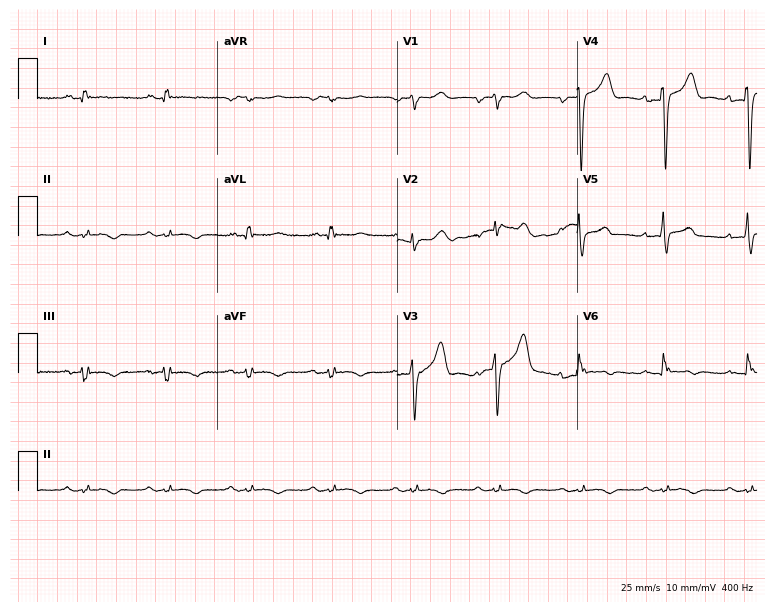
12-lead ECG from a 59-year-old man. No first-degree AV block, right bundle branch block, left bundle branch block, sinus bradycardia, atrial fibrillation or sinus tachycardia recorded for this tracing.